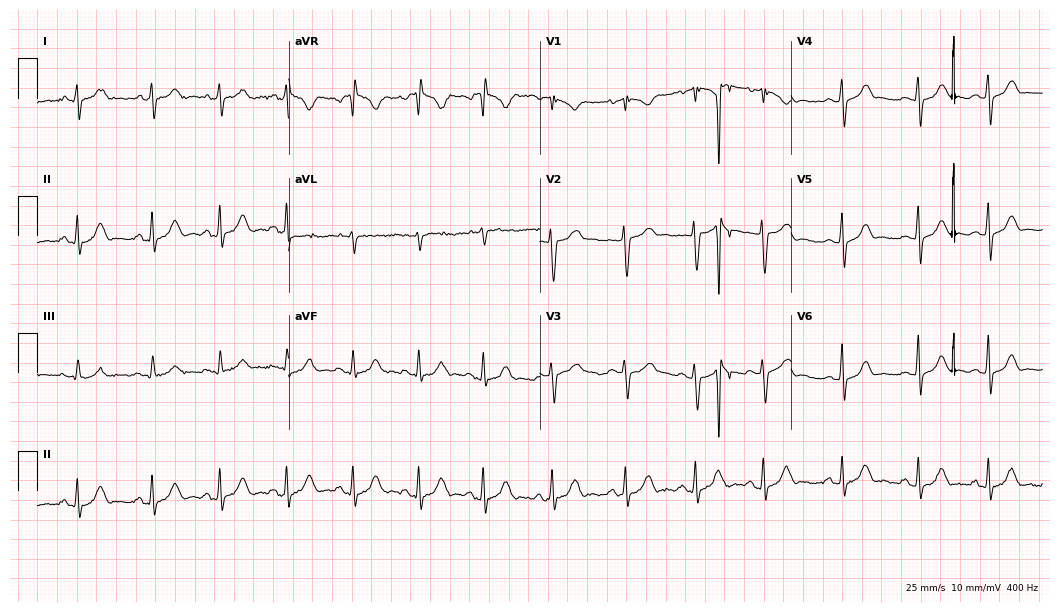
Electrocardiogram, a 22-year-old female. Of the six screened findings (first-degree AV block, right bundle branch block, left bundle branch block, sinus bradycardia, atrial fibrillation, sinus tachycardia), none is recorded. Other findings, if any, are not listed.